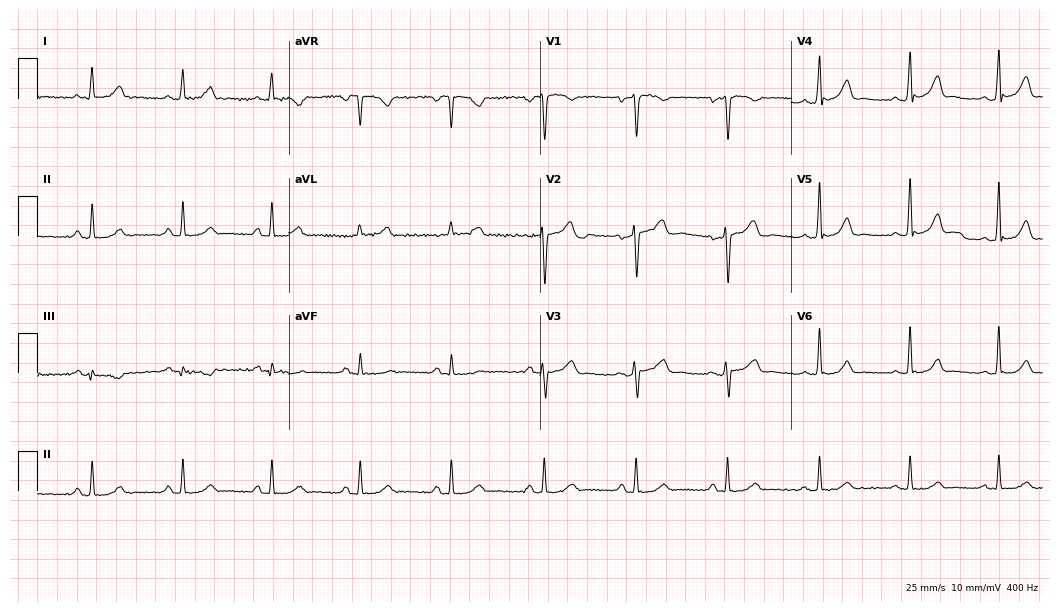
ECG — a woman, 46 years old. Labelled as a normal ECG.